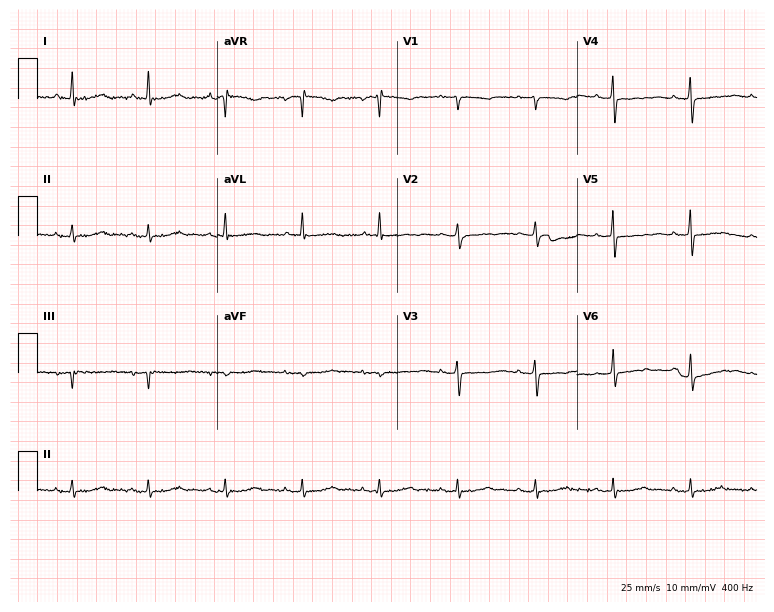
ECG — a 76-year-old female patient. Screened for six findings — first-degree AV block, right bundle branch block, left bundle branch block, sinus bradycardia, atrial fibrillation, sinus tachycardia — none is recorded. Other findings, if any, are not listed.